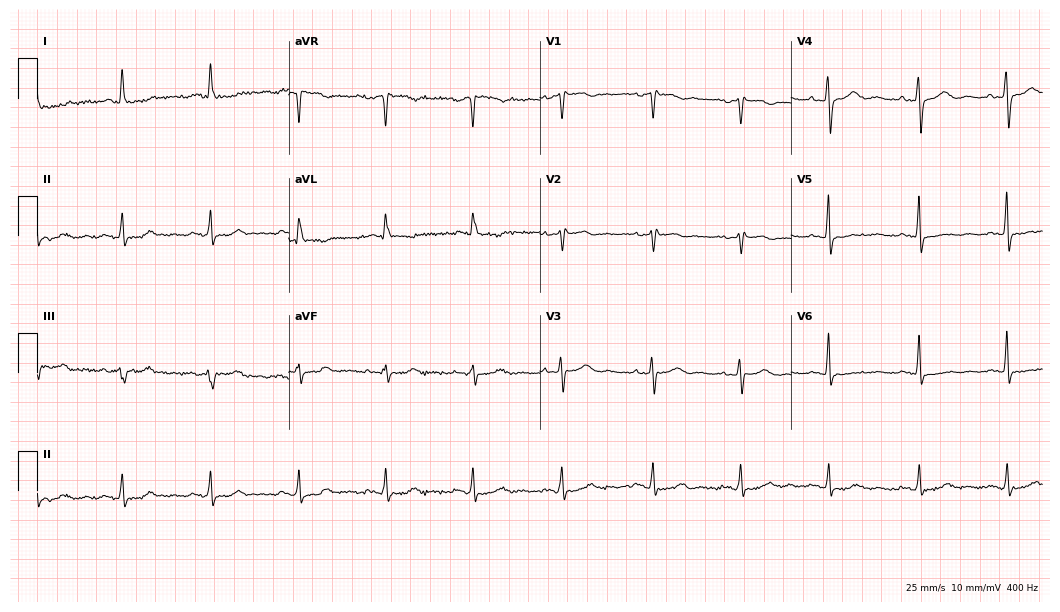
Electrocardiogram, a woman, 59 years old. Of the six screened findings (first-degree AV block, right bundle branch block, left bundle branch block, sinus bradycardia, atrial fibrillation, sinus tachycardia), none is recorded. Other findings, if any, are not listed.